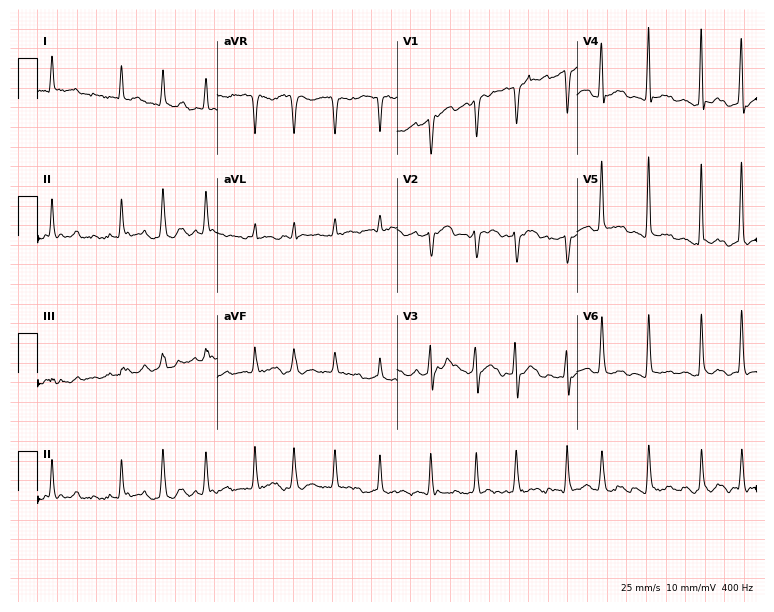
12-lead ECG from a 73-year-old female. Findings include atrial fibrillation (AF).